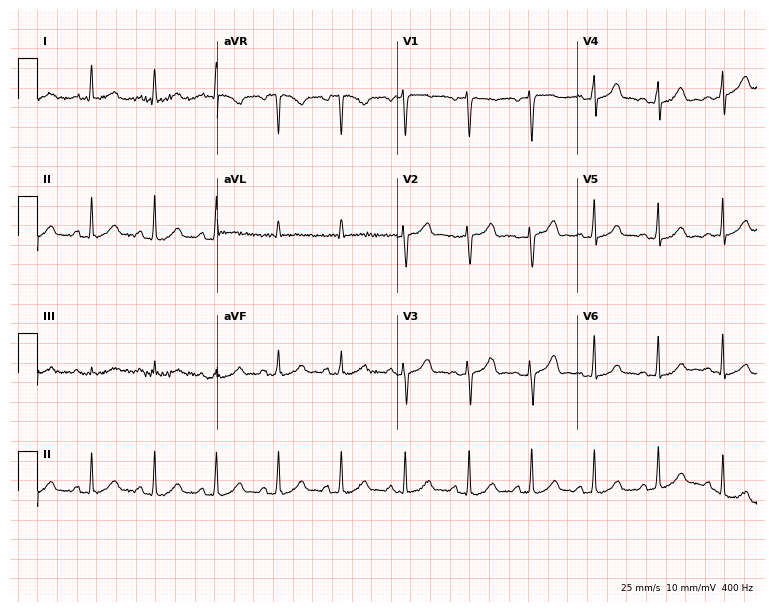
Resting 12-lead electrocardiogram (7.3-second recording at 400 Hz). Patient: a 50-year-old female. Read as a normal ECG.